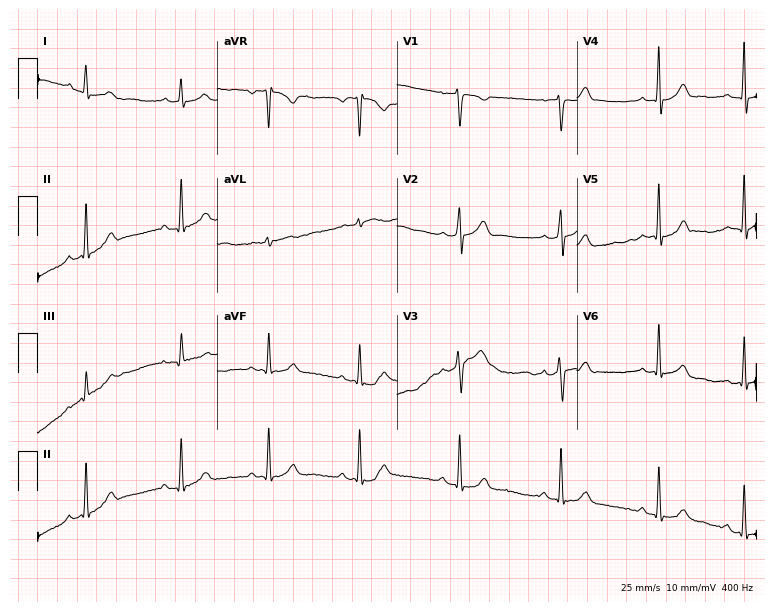
ECG (7.3-second recording at 400 Hz) — a woman, 23 years old. Screened for six findings — first-degree AV block, right bundle branch block, left bundle branch block, sinus bradycardia, atrial fibrillation, sinus tachycardia — none is recorded.